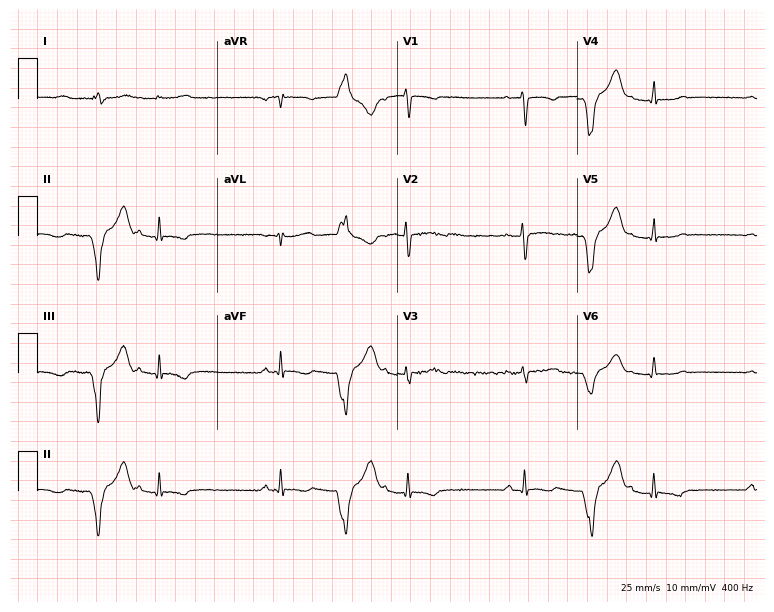
ECG (7.3-second recording at 400 Hz) — a woman, 31 years old. Labelled as a normal ECG.